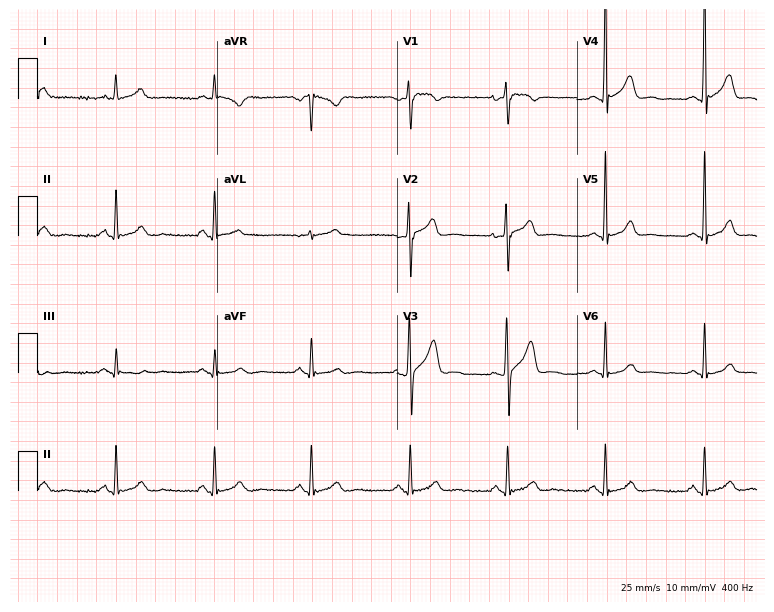
12-lead ECG (7.3-second recording at 400 Hz) from a male patient, 22 years old. Labelled as a normal ECG.